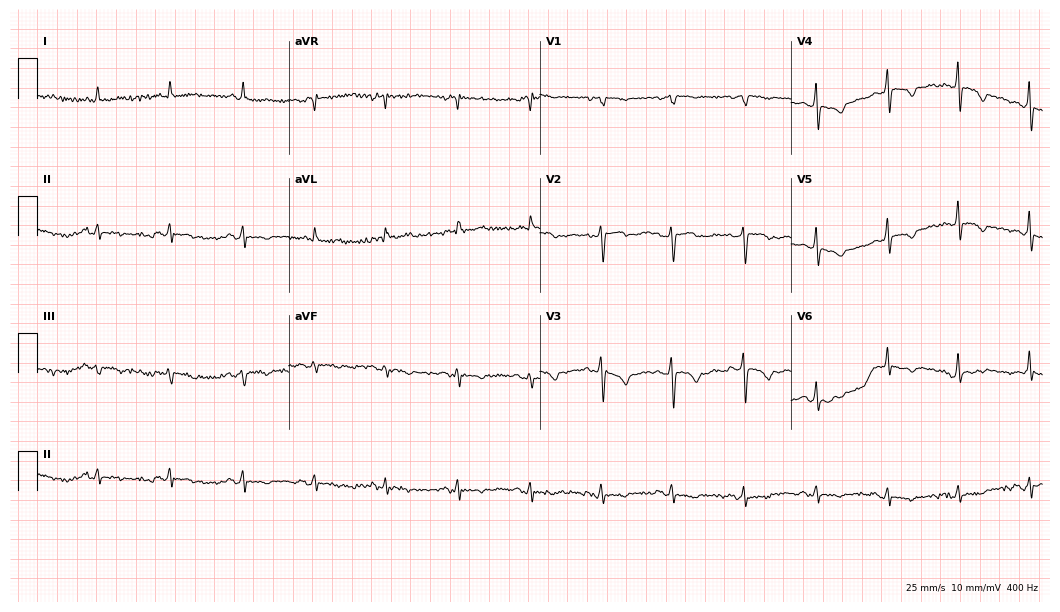
Resting 12-lead electrocardiogram. Patient: a 69-year-old female. None of these six findings is recorded: first-degree AV block, right bundle branch block, left bundle branch block, sinus bradycardia, atrial fibrillation, sinus tachycardia. Other findings, if any, are not listed.